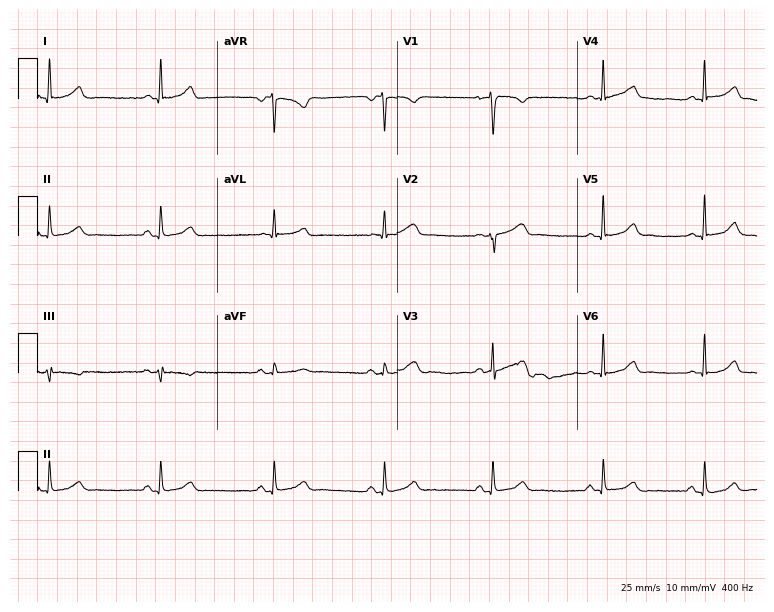
12-lead ECG from a female, 35 years old. Labelled as a normal ECG.